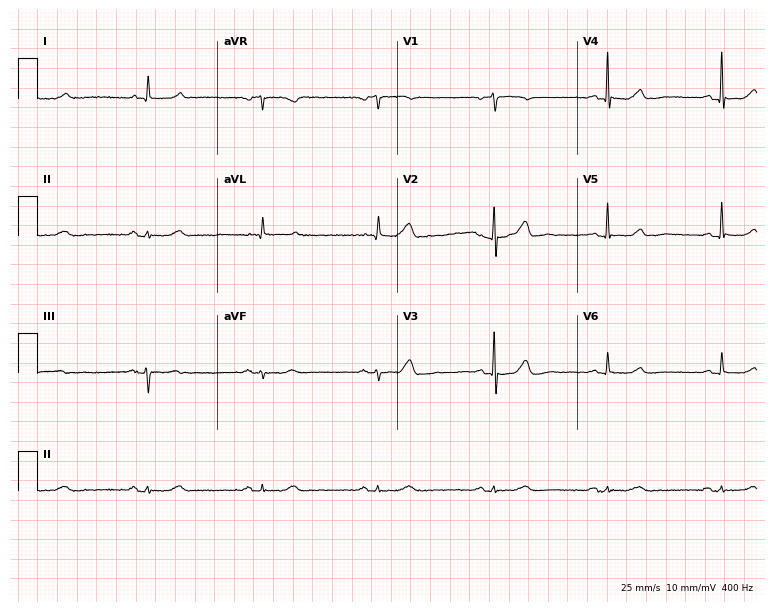
12-lead ECG from a male patient, 82 years old. Screened for six findings — first-degree AV block, right bundle branch block, left bundle branch block, sinus bradycardia, atrial fibrillation, sinus tachycardia — none is recorded.